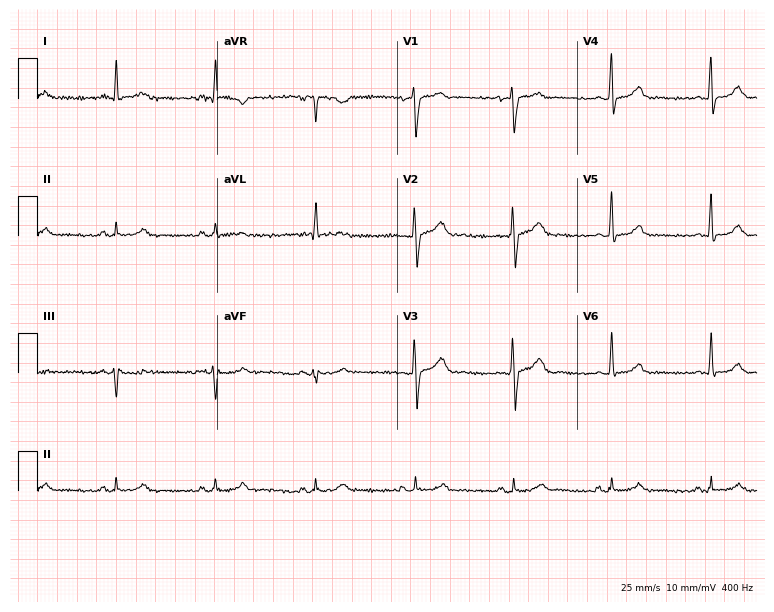
12-lead ECG from a male, 62 years old (7.3-second recording at 400 Hz). Recorded interpretation: within normal limits.